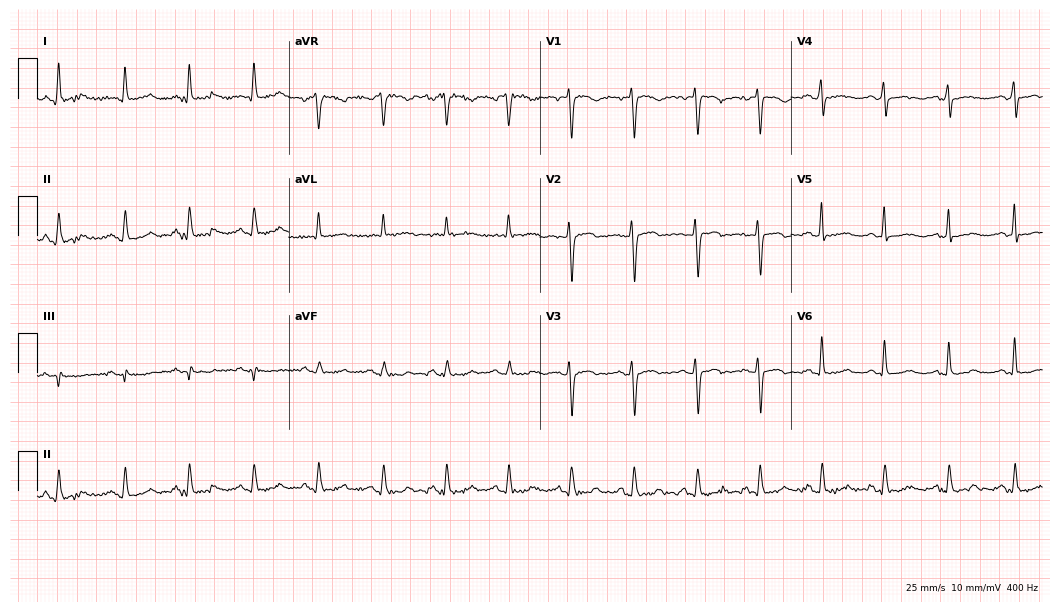
Electrocardiogram (10.2-second recording at 400 Hz), a 50-year-old woman. Overall reading on record: normal ECG.